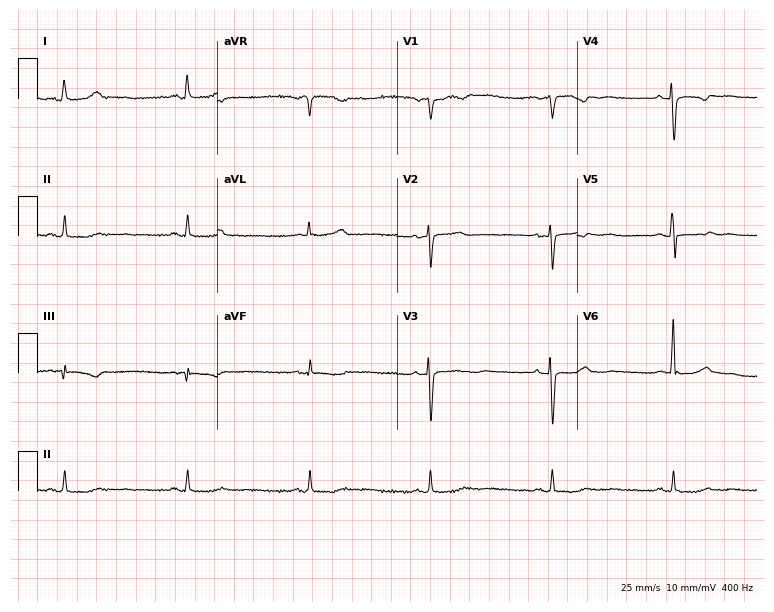
Standard 12-lead ECG recorded from a woman, 58 years old. None of these six findings is recorded: first-degree AV block, right bundle branch block, left bundle branch block, sinus bradycardia, atrial fibrillation, sinus tachycardia.